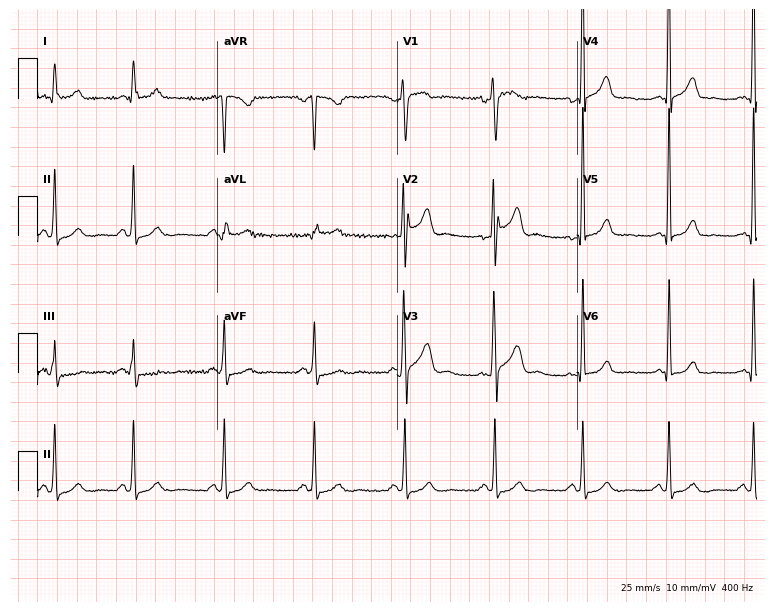
Electrocardiogram (7.3-second recording at 400 Hz), a man, 46 years old. Of the six screened findings (first-degree AV block, right bundle branch block (RBBB), left bundle branch block (LBBB), sinus bradycardia, atrial fibrillation (AF), sinus tachycardia), none is recorded.